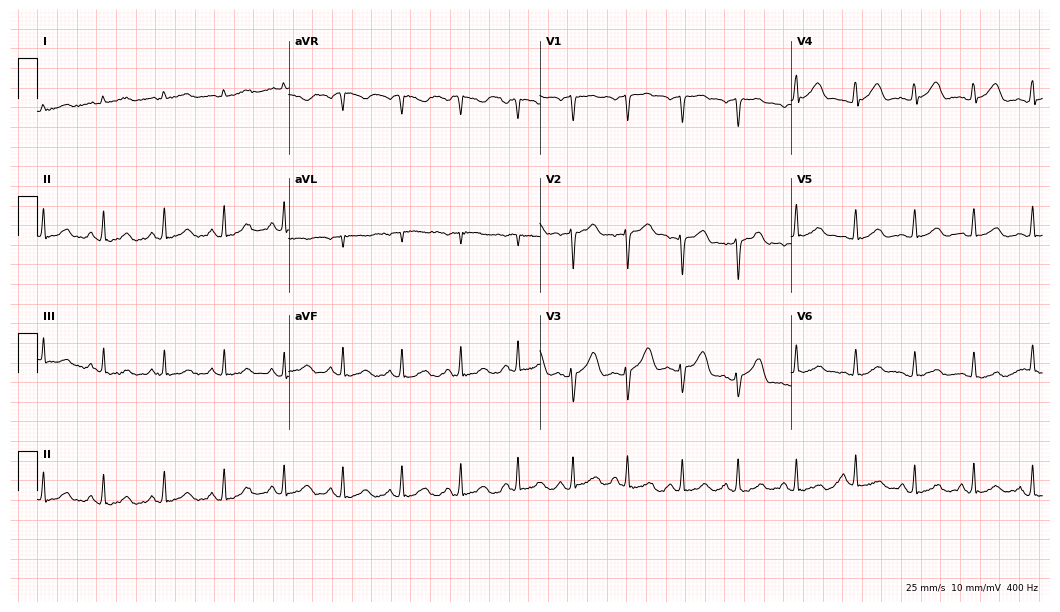
Electrocardiogram, a 43-year-old female patient. Overall reading on record: normal ECG.